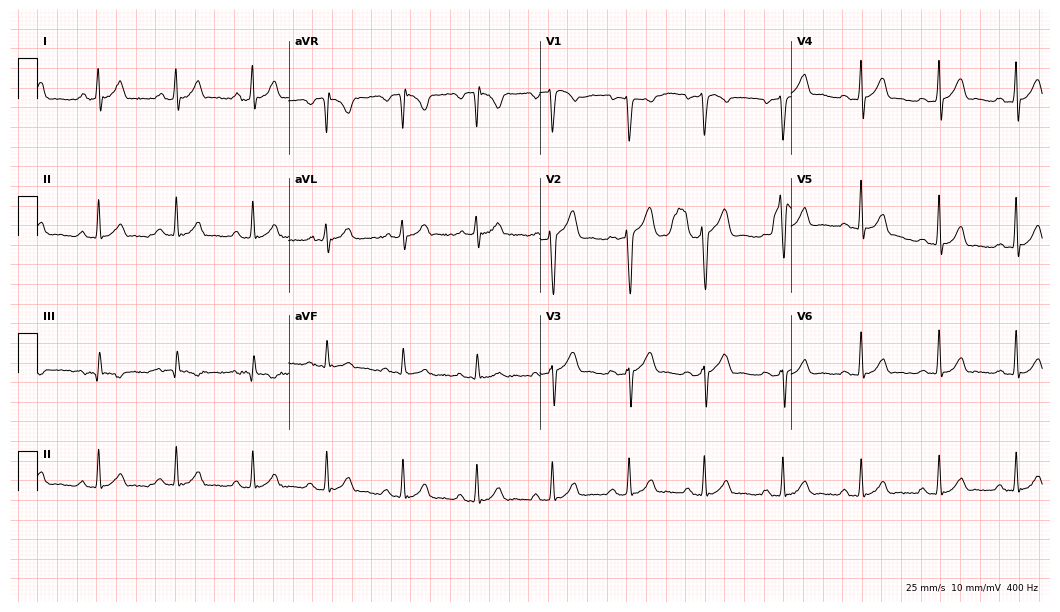
Resting 12-lead electrocardiogram. Patient: a male, 27 years old. Read as a normal ECG.